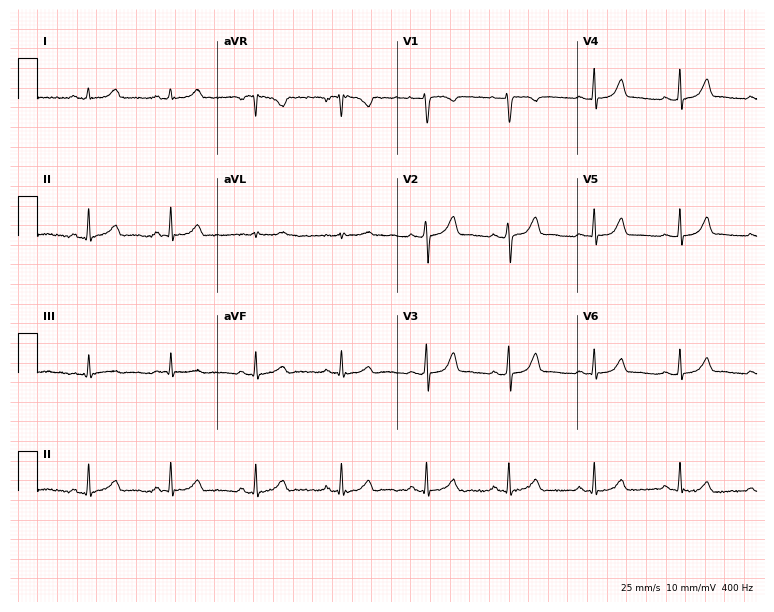
Resting 12-lead electrocardiogram. Patient: a female, 41 years old. Read as a normal ECG.